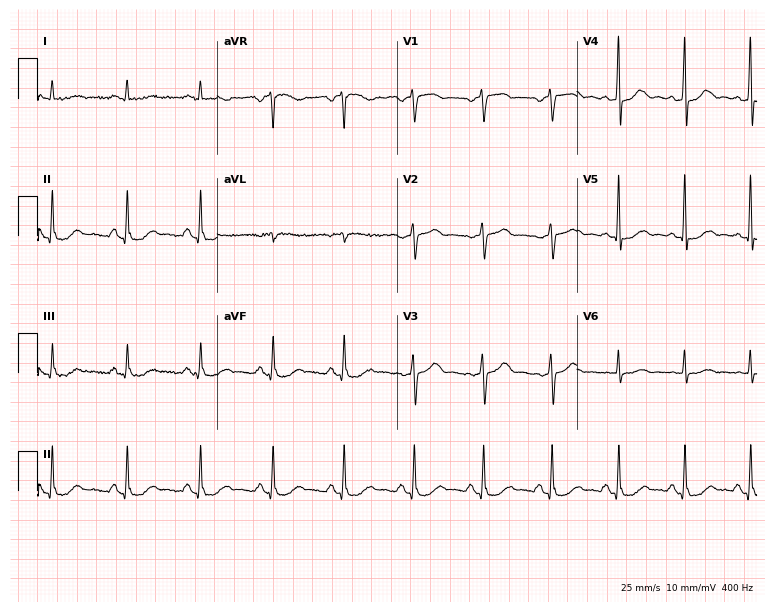
Standard 12-lead ECG recorded from a 60-year-old female (7.3-second recording at 400 Hz). None of these six findings is recorded: first-degree AV block, right bundle branch block, left bundle branch block, sinus bradycardia, atrial fibrillation, sinus tachycardia.